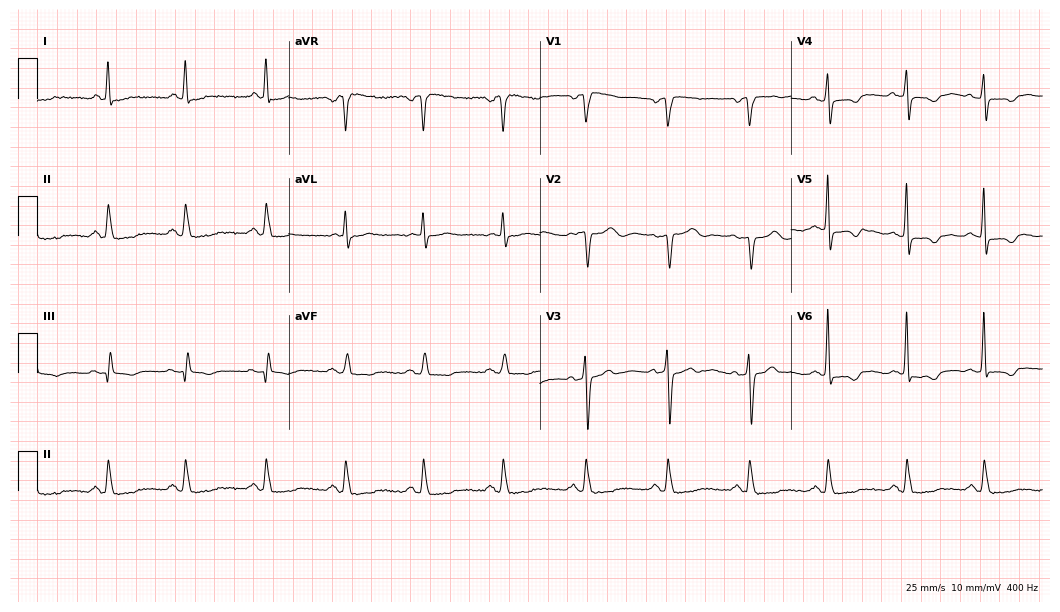
12-lead ECG (10.2-second recording at 400 Hz) from a 58-year-old female patient. Screened for six findings — first-degree AV block, right bundle branch block, left bundle branch block, sinus bradycardia, atrial fibrillation, sinus tachycardia — none is recorded.